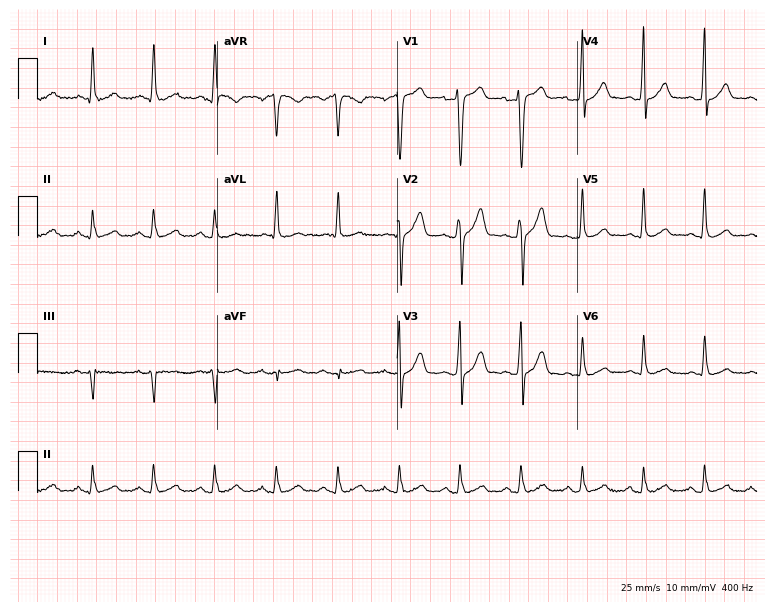
12-lead ECG from a 42-year-old male patient (7.3-second recording at 400 Hz). No first-degree AV block, right bundle branch block (RBBB), left bundle branch block (LBBB), sinus bradycardia, atrial fibrillation (AF) or sinus tachycardia recorded for this tracing.